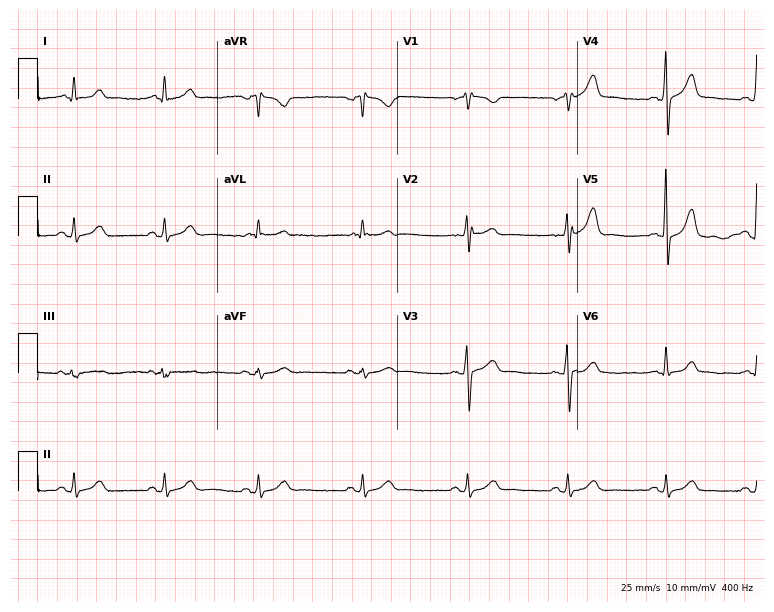
12-lead ECG from a man, 41 years old. No first-degree AV block, right bundle branch block (RBBB), left bundle branch block (LBBB), sinus bradycardia, atrial fibrillation (AF) or sinus tachycardia recorded for this tracing.